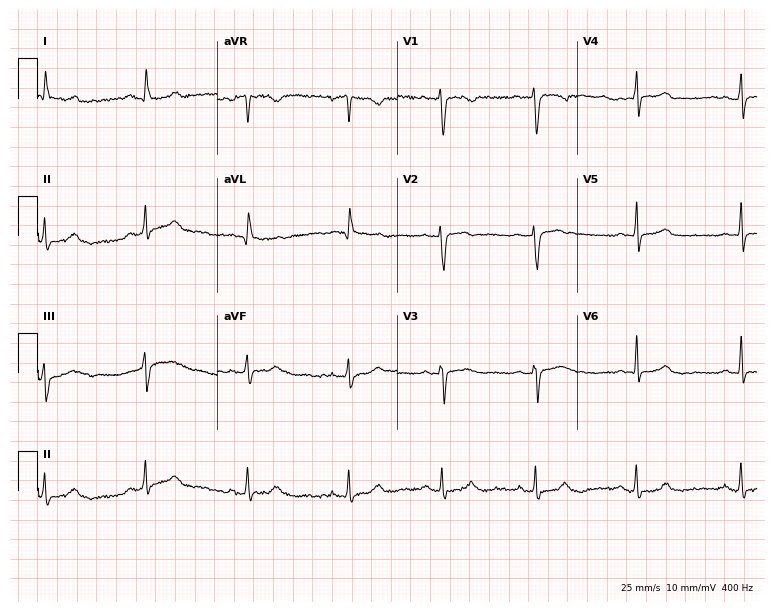
12-lead ECG from a female patient, 56 years old. Recorded interpretation: within normal limits.